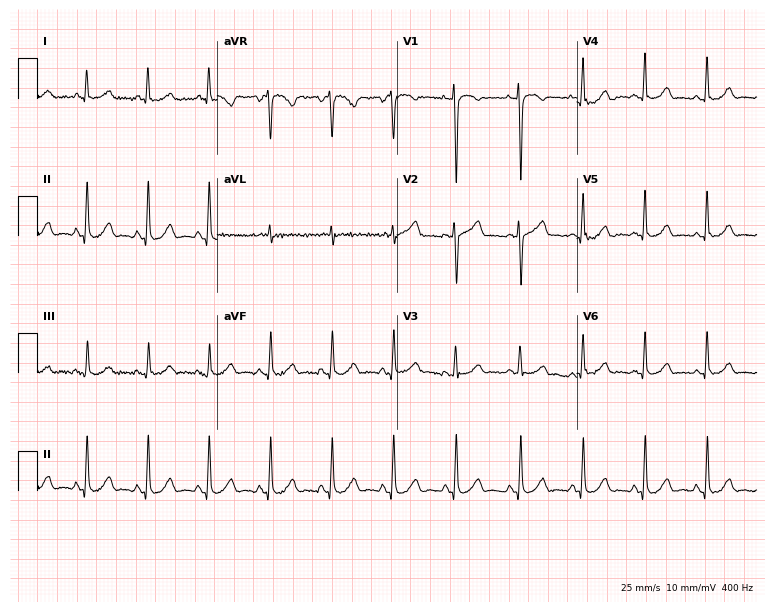
Resting 12-lead electrocardiogram (7.3-second recording at 400 Hz). Patient: a 51-year-old woman. Read as a normal ECG.